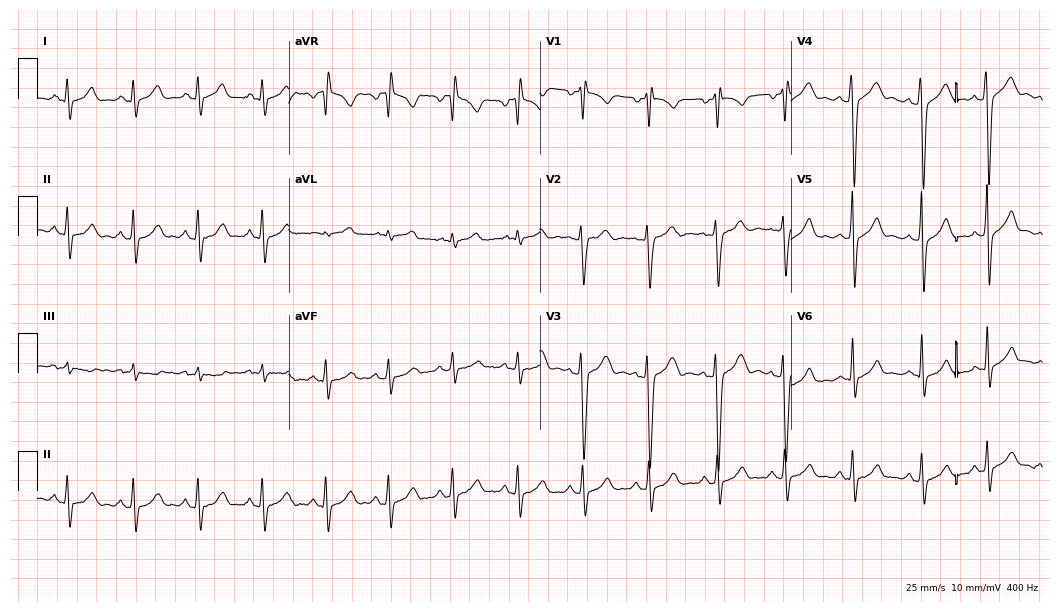
Standard 12-lead ECG recorded from a 17-year-old man. Read as a normal ECG.